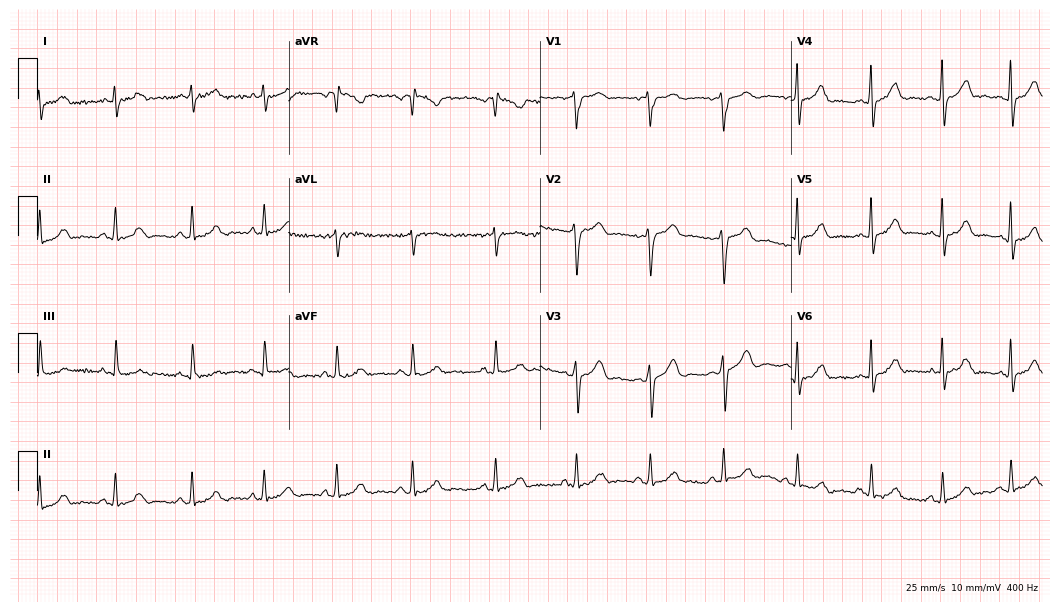
ECG — a female patient, 25 years old. Screened for six findings — first-degree AV block, right bundle branch block, left bundle branch block, sinus bradycardia, atrial fibrillation, sinus tachycardia — none is recorded. Findings outside these six are not listed.